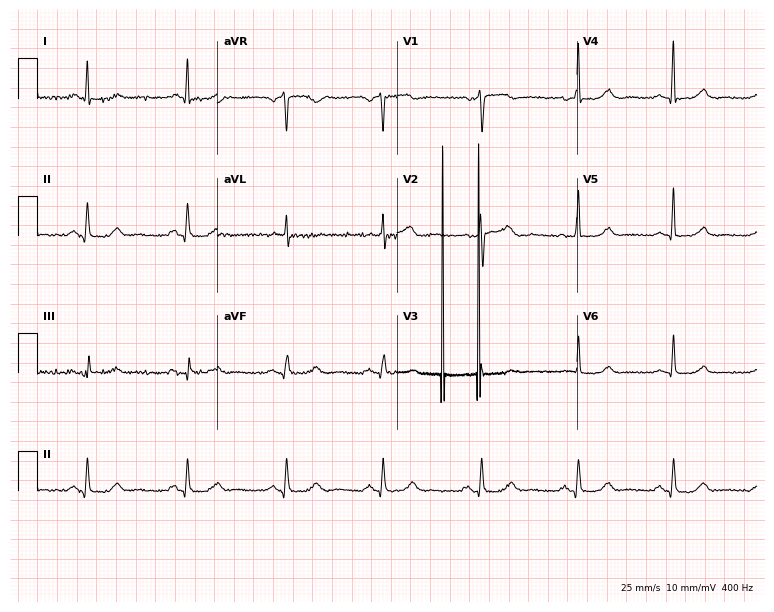
Standard 12-lead ECG recorded from a 62-year-old female (7.3-second recording at 400 Hz). Read as a normal ECG.